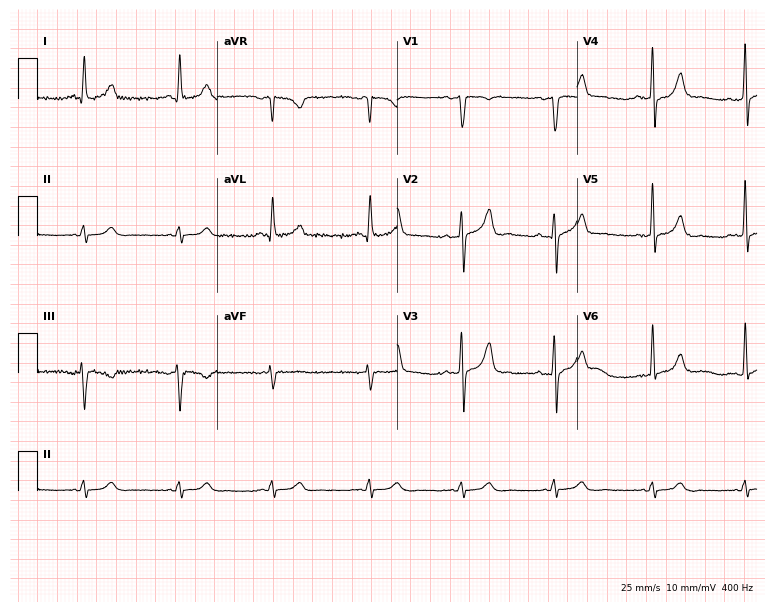
Resting 12-lead electrocardiogram (7.3-second recording at 400 Hz). Patient: a man, 55 years old. None of these six findings is recorded: first-degree AV block, right bundle branch block, left bundle branch block, sinus bradycardia, atrial fibrillation, sinus tachycardia. Other findings, if any, are not listed.